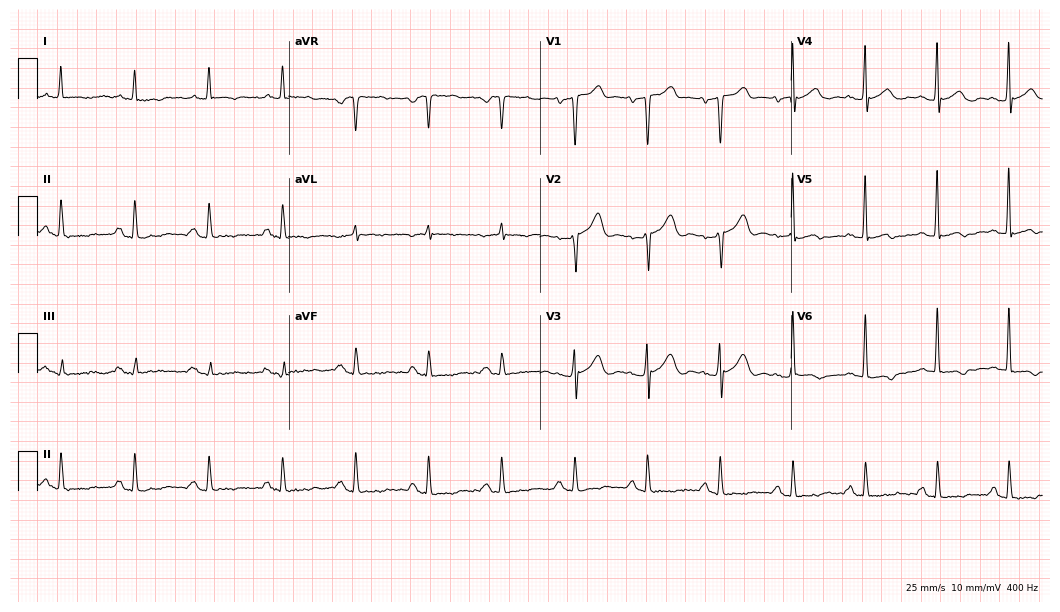
Electrocardiogram, a man, 84 years old. Of the six screened findings (first-degree AV block, right bundle branch block, left bundle branch block, sinus bradycardia, atrial fibrillation, sinus tachycardia), none is recorded. Only these six findings were labelled.